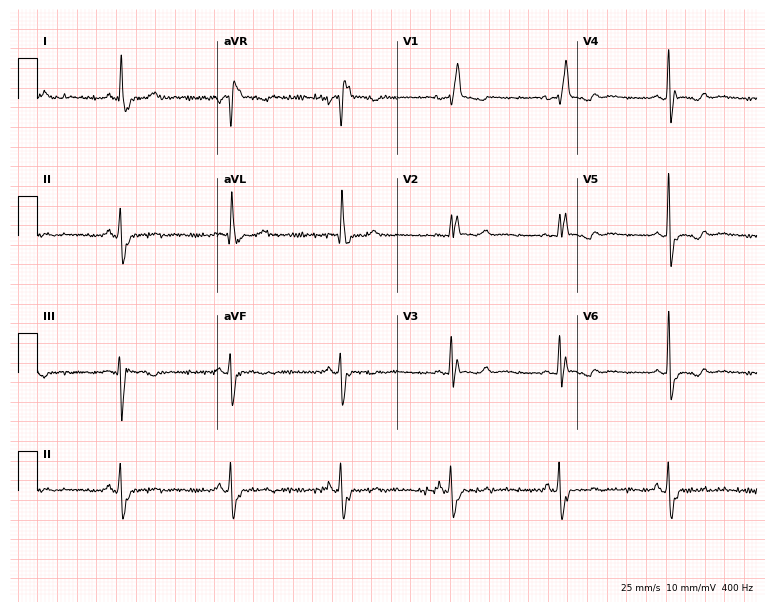
Electrocardiogram, a female, 82 years old. Interpretation includes right bundle branch block.